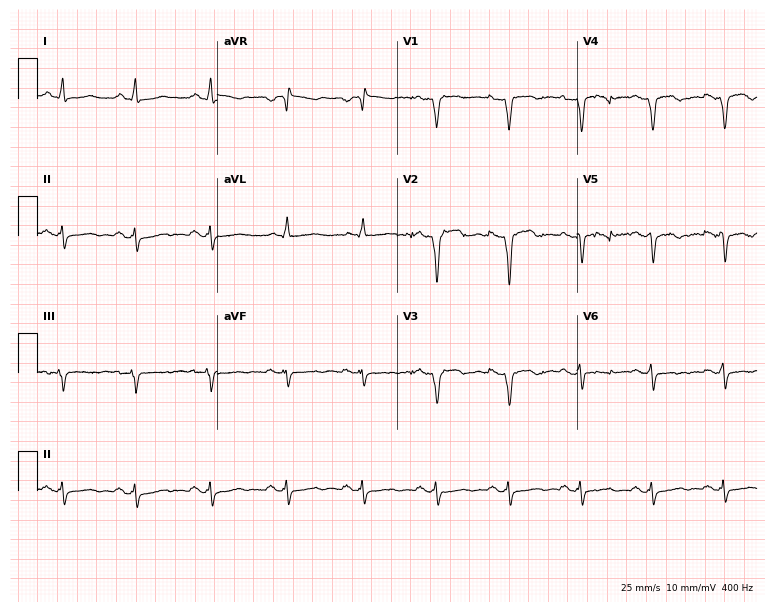
12-lead ECG from a male patient, 57 years old (7.3-second recording at 400 Hz). No first-degree AV block, right bundle branch block, left bundle branch block, sinus bradycardia, atrial fibrillation or sinus tachycardia recorded for this tracing. Only these six findings were labelled.